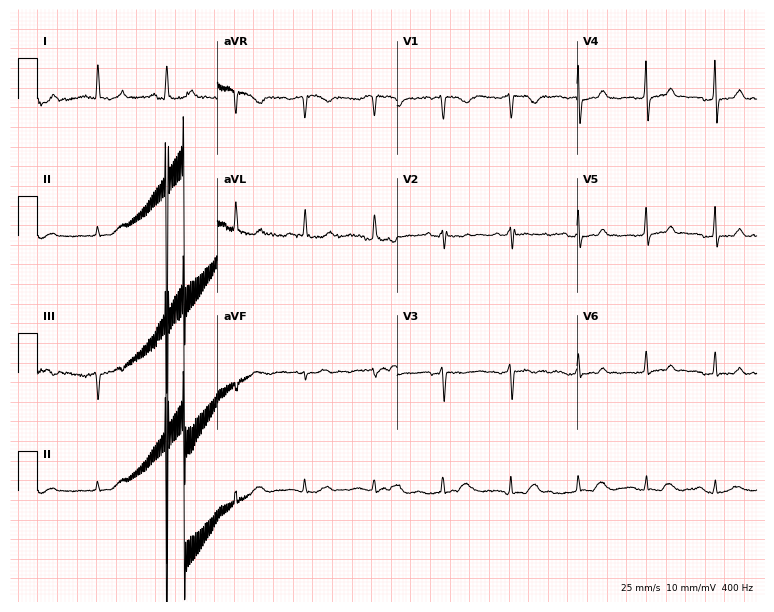
ECG — a female patient, 64 years old. Screened for six findings — first-degree AV block, right bundle branch block, left bundle branch block, sinus bradycardia, atrial fibrillation, sinus tachycardia — none is recorded. Other findings, if any, are not listed.